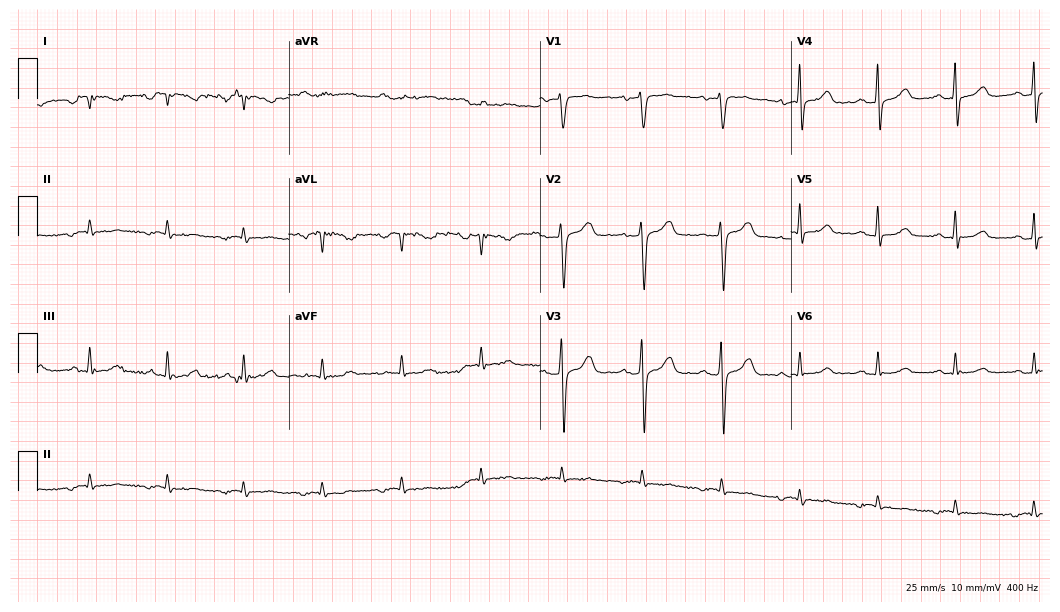
Electrocardiogram (10.2-second recording at 400 Hz), a male patient, 62 years old. Of the six screened findings (first-degree AV block, right bundle branch block, left bundle branch block, sinus bradycardia, atrial fibrillation, sinus tachycardia), none is recorded.